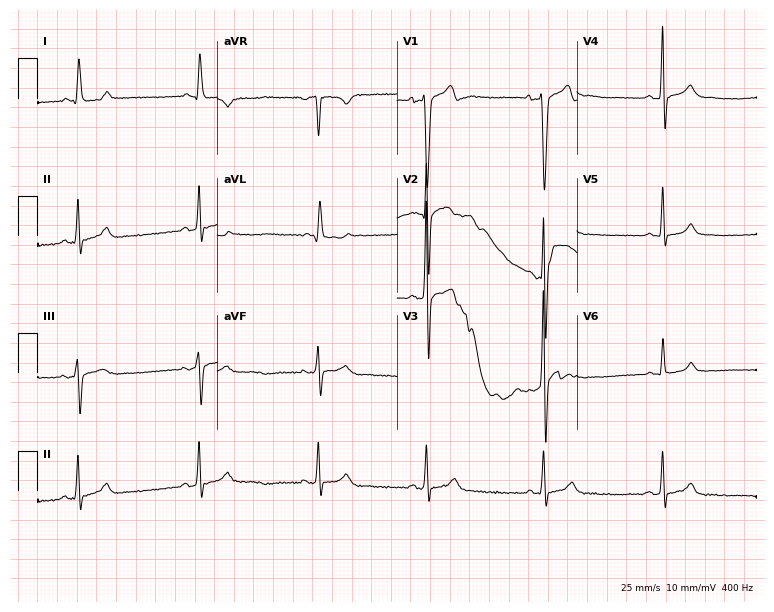
12-lead ECG from a male patient, 28 years old. No first-degree AV block, right bundle branch block, left bundle branch block, sinus bradycardia, atrial fibrillation or sinus tachycardia recorded for this tracing.